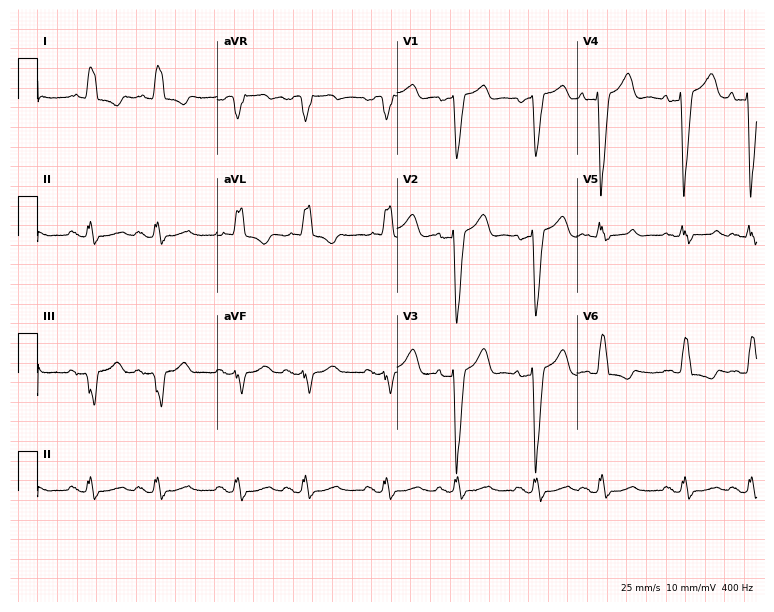
Standard 12-lead ECG recorded from a woman, 84 years old (7.3-second recording at 400 Hz). None of these six findings is recorded: first-degree AV block, right bundle branch block, left bundle branch block, sinus bradycardia, atrial fibrillation, sinus tachycardia.